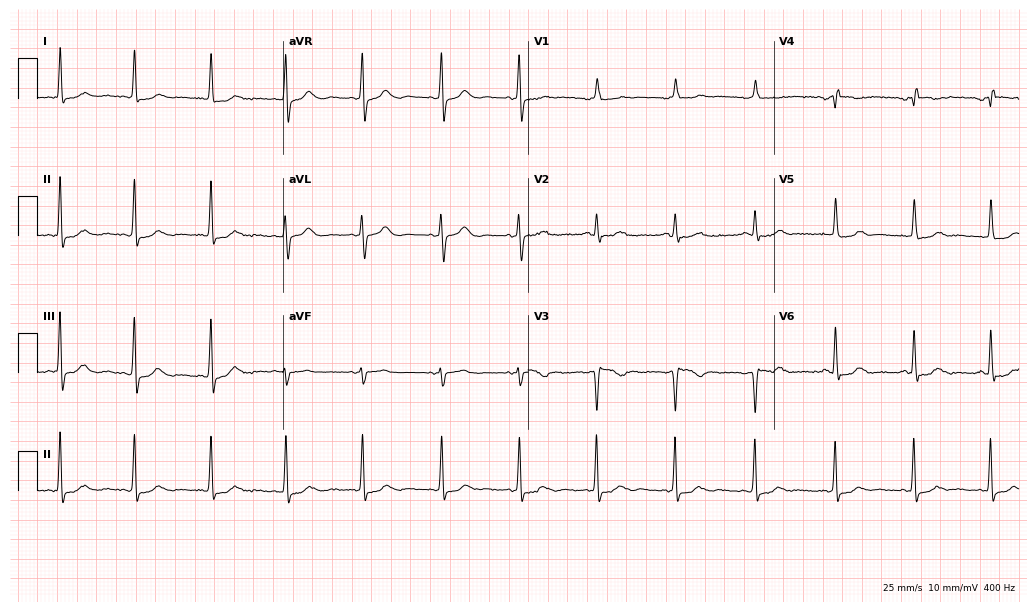
Electrocardiogram (10-second recording at 400 Hz), a female patient, 73 years old. Of the six screened findings (first-degree AV block, right bundle branch block (RBBB), left bundle branch block (LBBB), sinus bradycardia, atrial fibrillation (AF), sinus tachycardia), none is recorded. Findings outside these six are not listed.